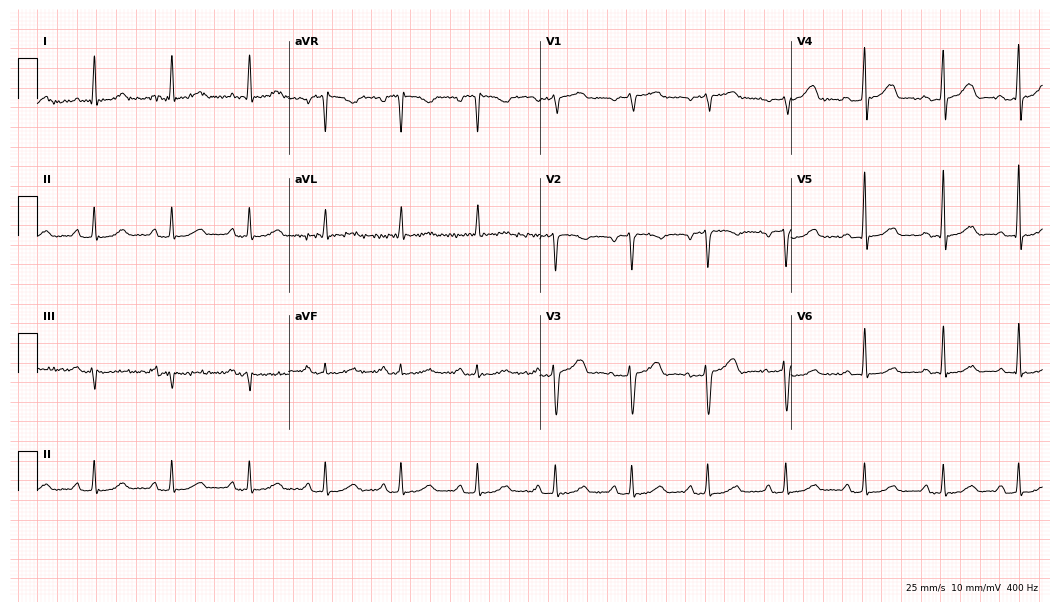
Electrocardiogram (10.2-second recording at 400 Hz), a female patient, 68 years old. Overall reading on record: normal ECG.